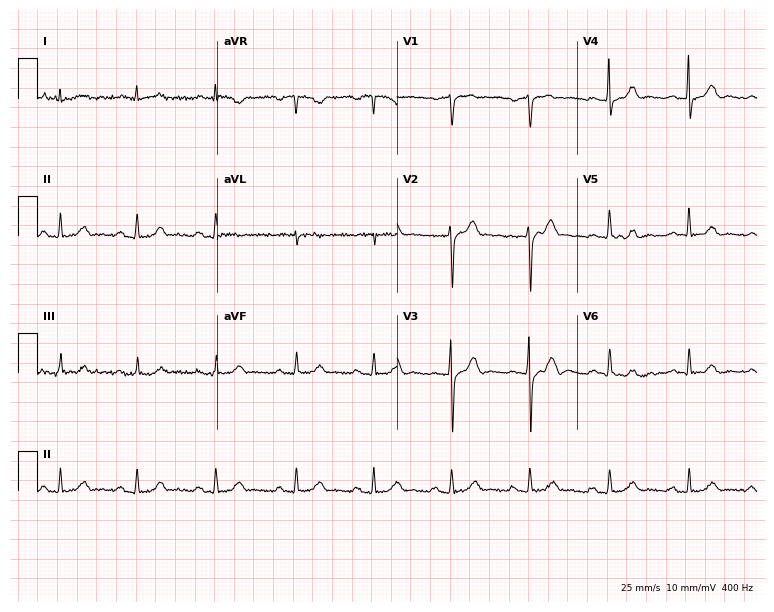
Electrocardiogram (7.3-second recording at 400 Hz), a man, 59 years old. Of the six screened findings (first-degree AV block, right bundle branch block (RBBB), left bundle branch block (LBBB), sinus bradycardia, atrial fibrillation (AF), sinus tachycardia), none is recorded.